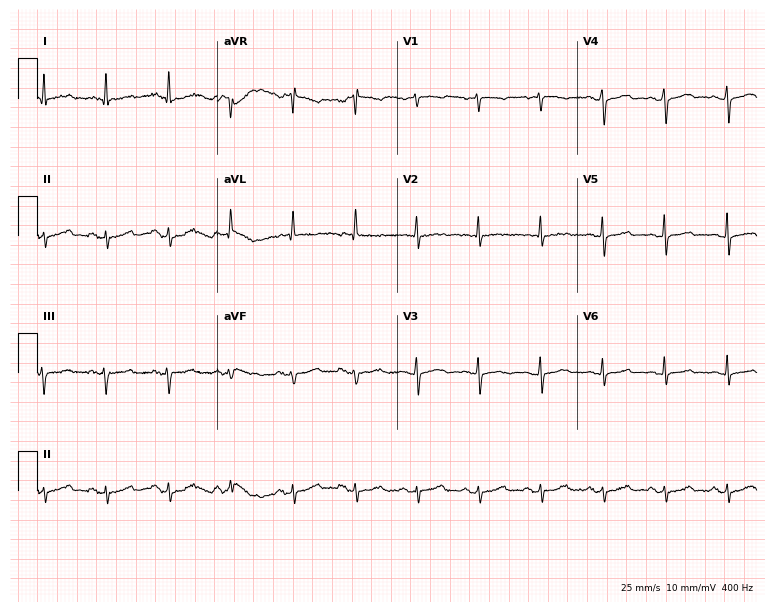
Standard 12-lead ECG recorded from an 83-year-old woman. None of these six findings is recorded: first-degree AV block, right bundle branch block, left bundle branch block, sinus bradycardia, atrial fibrillation, sinus tachycardia. Only these six findings were labelled.